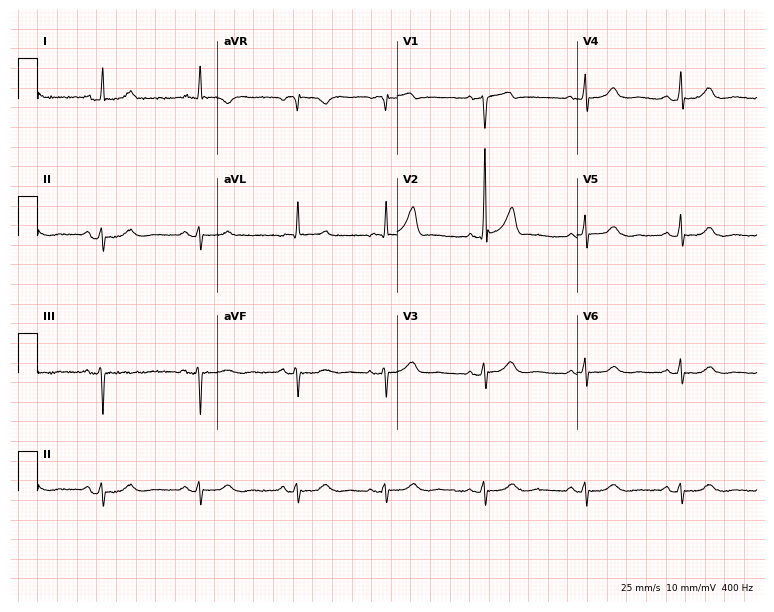
Electrocardiogram, an 83-year-old male. Of the six screened findings (first-degree AV block, right bundle branch block (RBBB), left bundle branch block (LBBB), sinus bradycardia, atrial fibrillation (AF), sinus tachycardia), none is recorded.